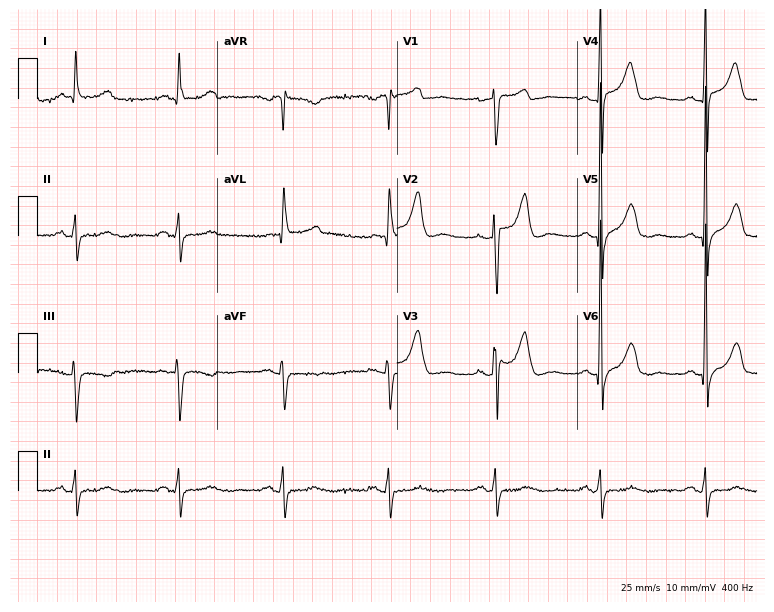
ECG (7.3-second recording at 400 Hz) — a male patient, 66 years old. Screened for six findings — first-degree AV block, right bundle branch block, left bundle branch block, sinus bradycardia, atrial fibrillation, sinus tachycardia — none is recorded. Only these six findings were labelled.